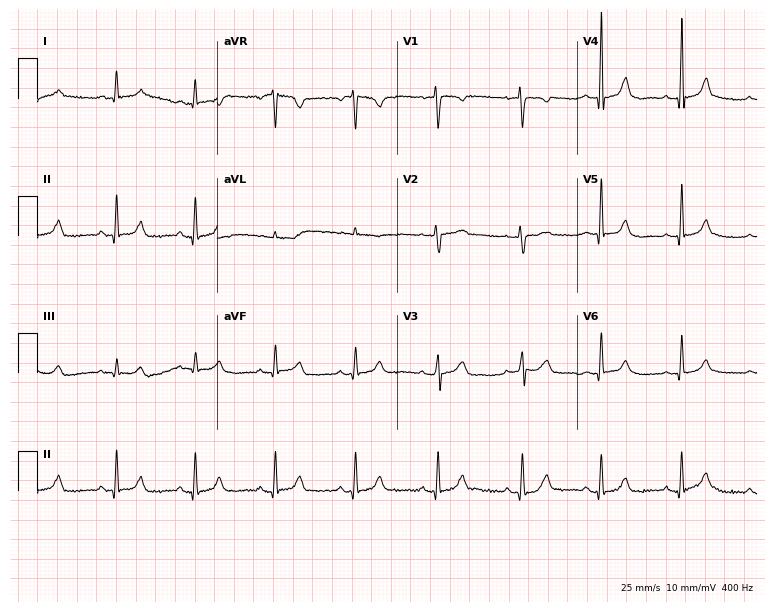
Standard 12-lead ECG recorded from a 47-year-old female (7.3-second recording at 400 Hz). Read as a normal ECG.